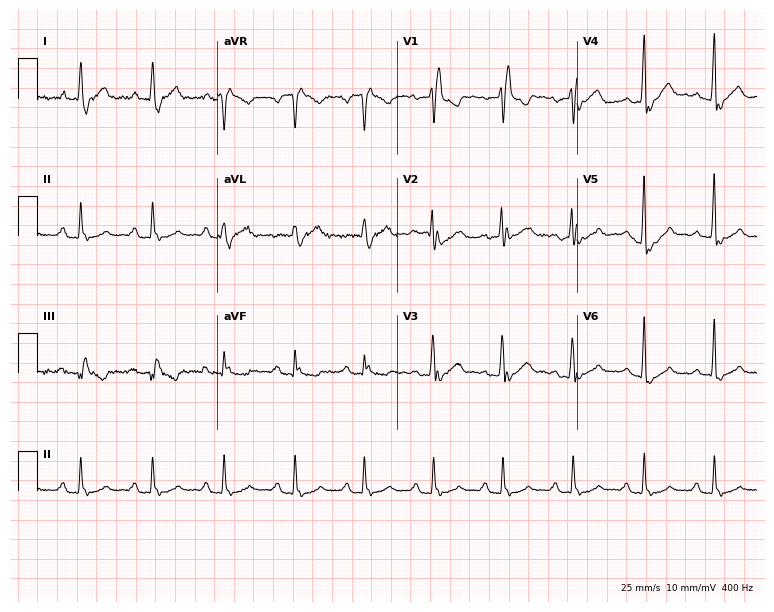
12-lead ECG from a woman, 55 years old. Shows right bundle branch block.